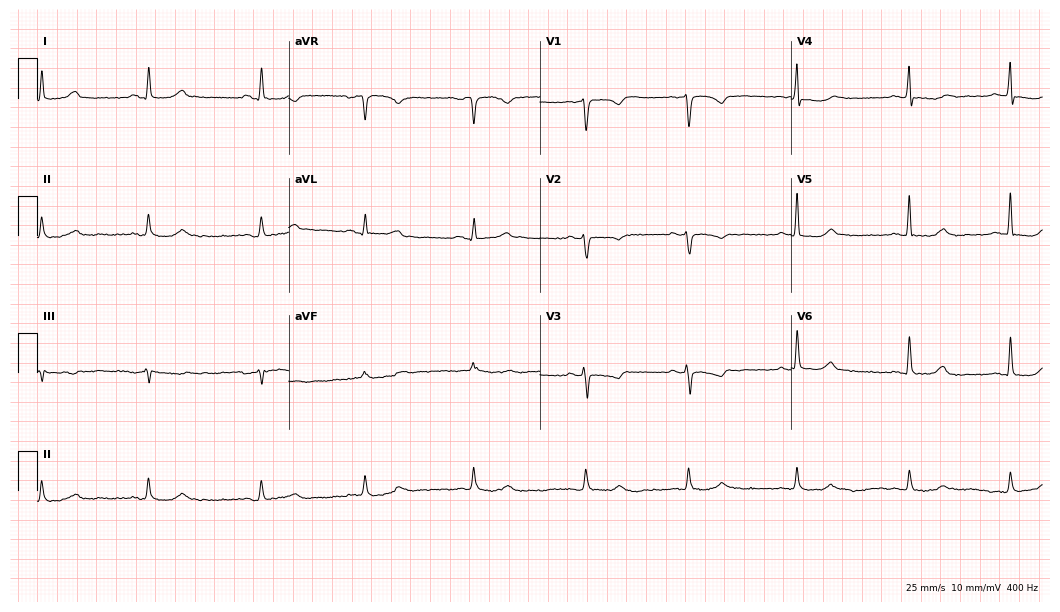
ECG (10.2-second recording at 400 Hz) — a female, 53 years old. Screened for six findings — first-degree AV block, right bundle branch block (RBBB), left bundle branch block (LBBB), sinus bradycardia, atrial fibrillation (AF), sinus tachycardia — none is recorded. Other findings, if any, are not listed.